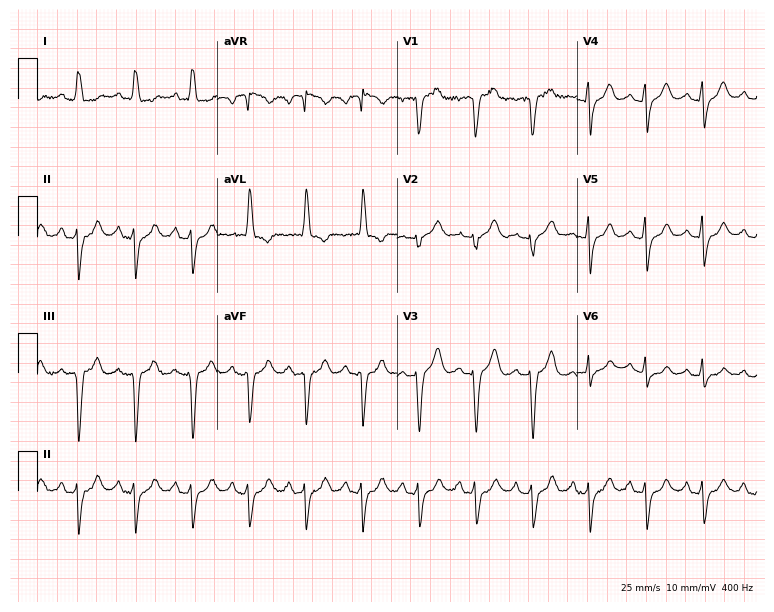
ECG — a male patient, 68 years old. Findings include sinus tachycardia (a sinus rate of 100 beats per minute or more).